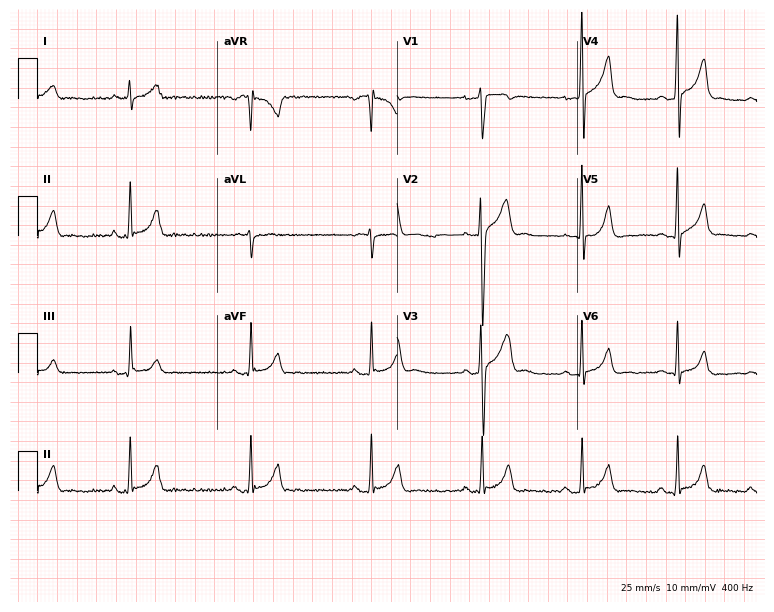
ECG (7.3-second recording at 400 Hz) — a 25-year-old male patient. Screened for six findings — first-degree AV block, right bundle branch block (RBBB), left bundle branch block (LBBB), sinus bradycardia, atrial fibrillation (AF), sinus tachycardia — none is recorded. Other findings, if any, are not listed.